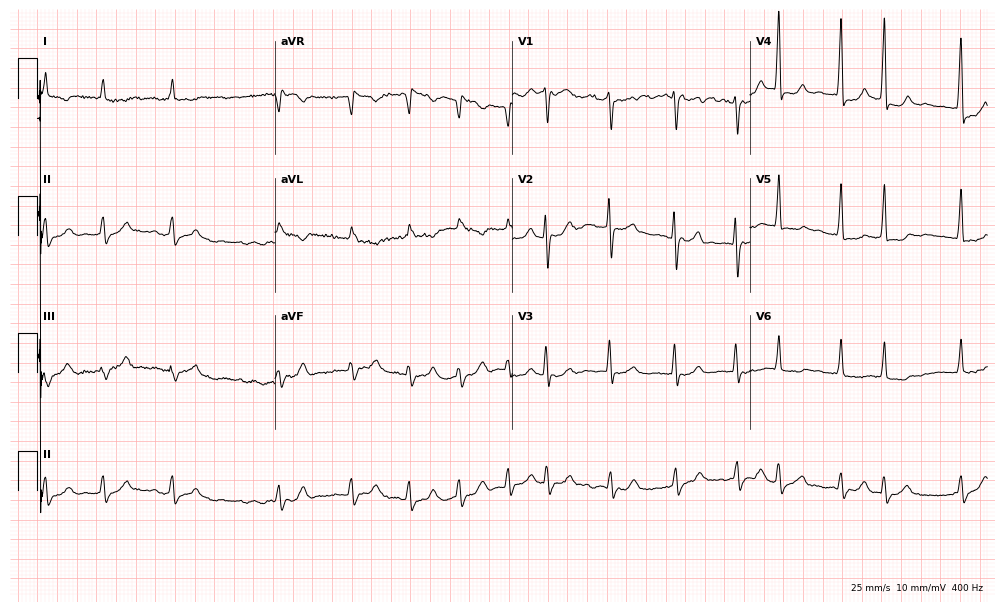
12-lead ECG from an 80-year-old female. Findings include atrial fibrillation.